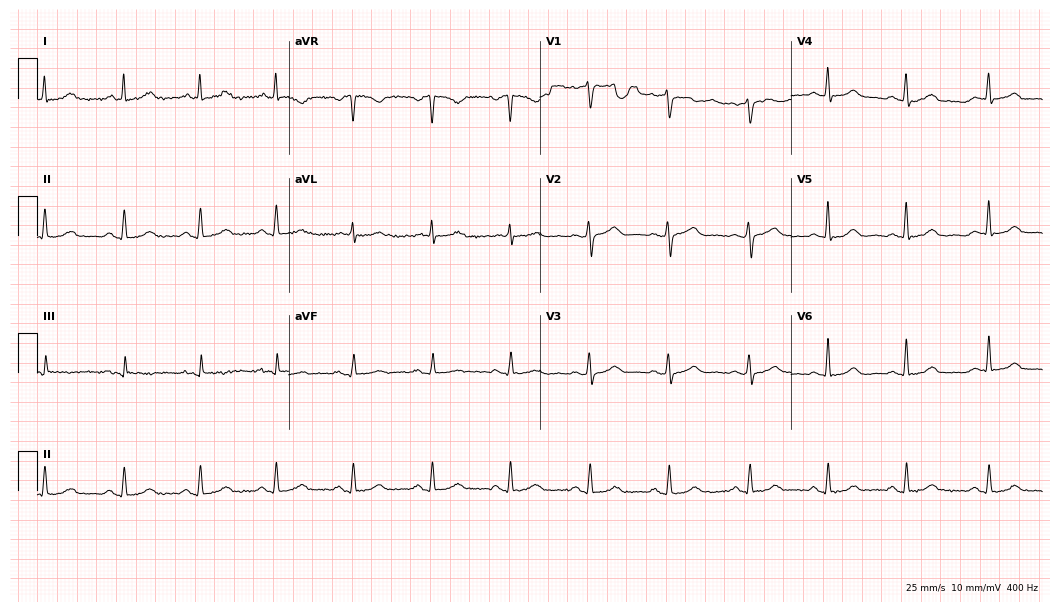
Resting 12-lead electrocardiogram (10.2-second recording at 400 Hz). Patient: a 43-year-old woman. Read as a normal ECG.